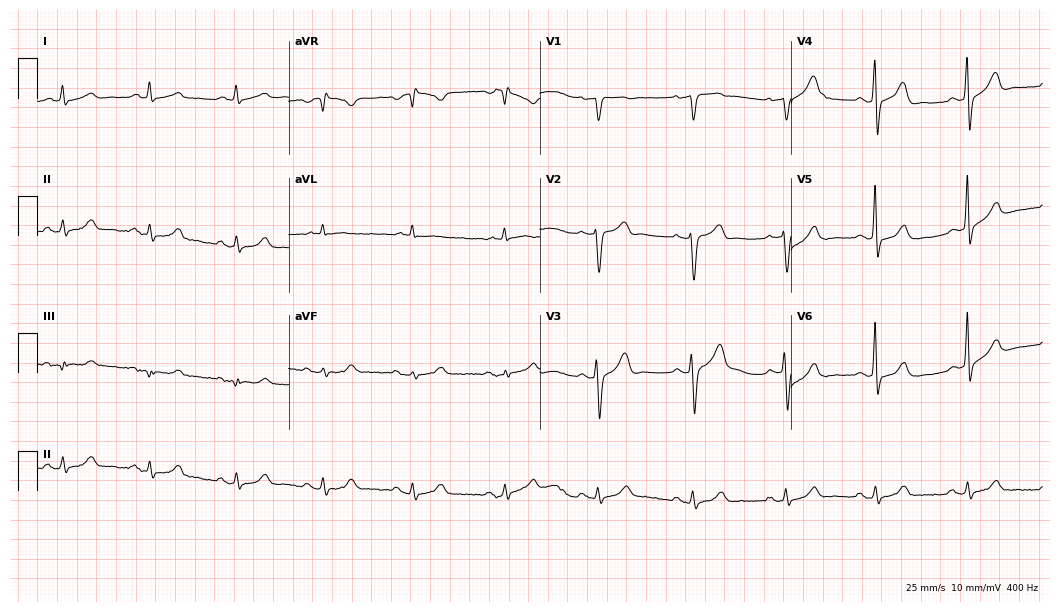
Resting 12-lead electrocardiogram. Patient: a 66-year-old male. None of these six findings is recorded: first-degree AV block, right bundle branch block (RBBB), left bundle branch block (LBBB), sinus bradycardia, atrial fibrillation (AF), sinus tachycardia. Findings outside these six are not listed.